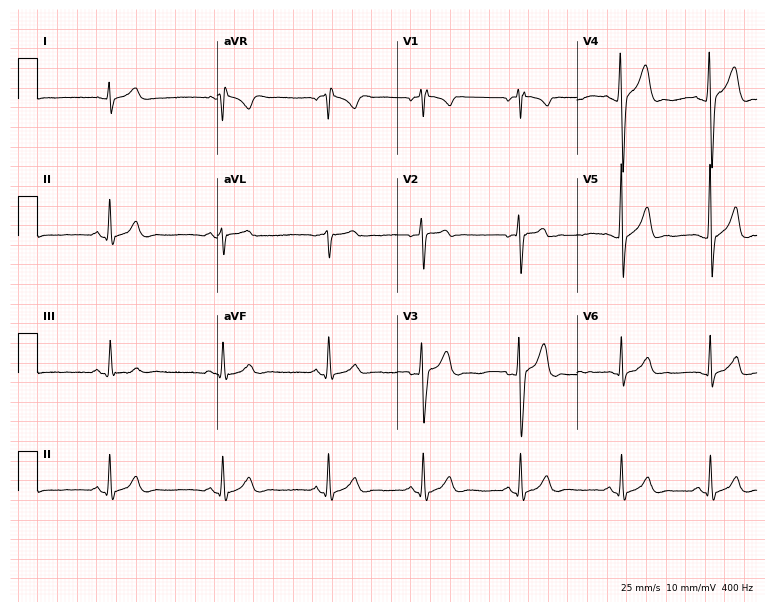
12-lead ECG (7.3-second recording at 400 Hz) from a man, 23 years old. Labelled as a normal ECG.